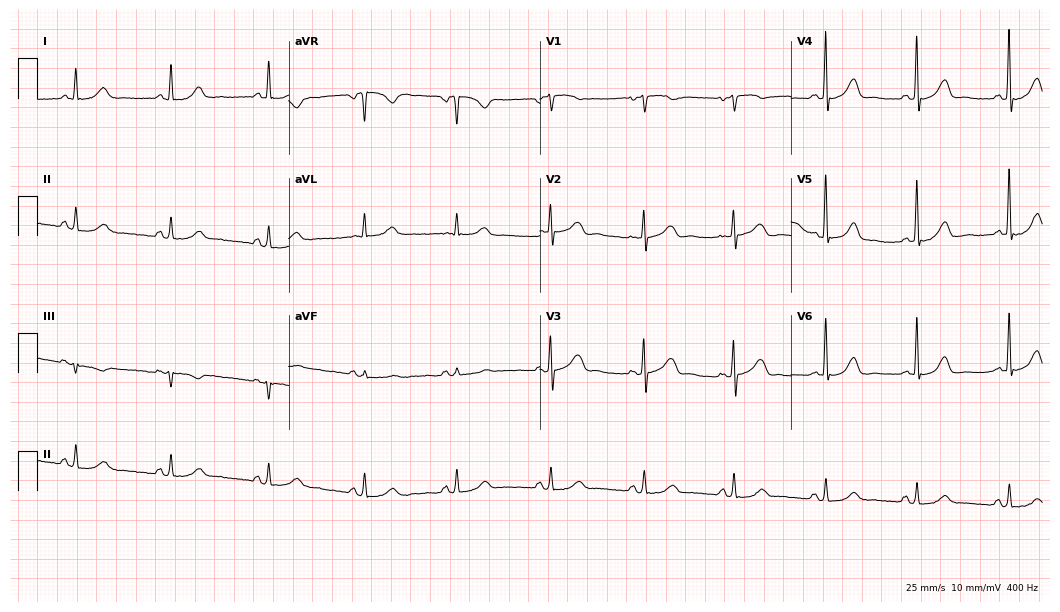
12-lead ECG from a female patient, 62 years old. Recorded interpretation: within normal limits.